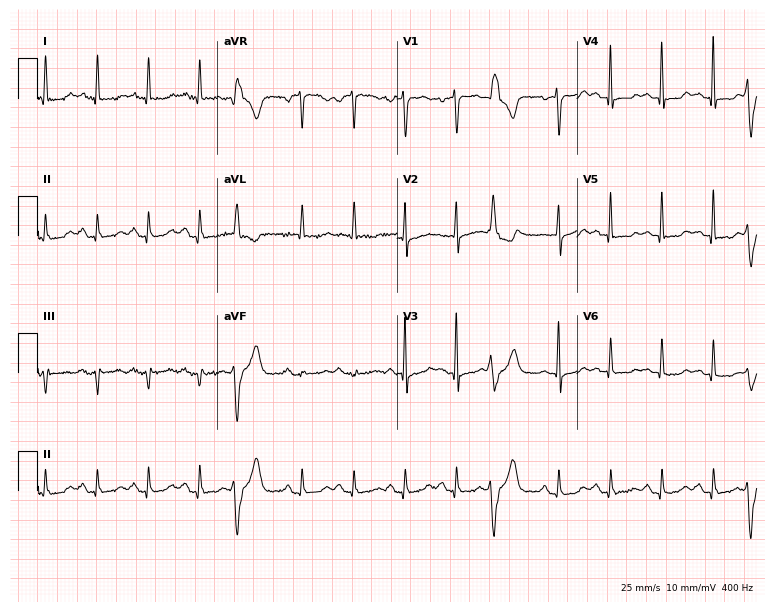
Resting 12-lead electrocardiogram. Patient: a male, 78 years old. The tracing shows sinus tachycardia (a sinus rate of 100 beats per minute or more).